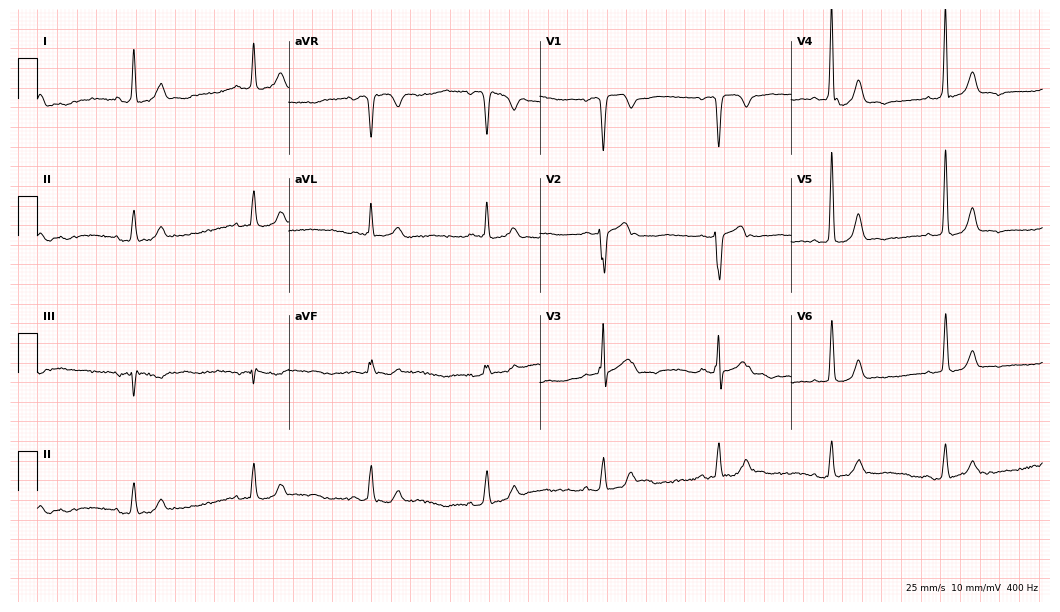
Resting 12-lead electrocardiogram. Patient: a 57-year-old male. None of these six findings is recorded: first-degree AV block, right bundle branch block, left bundle branch block, sinus bradycardia, atrial fibrillation, sinus tachycardia. Only these six findings were labelled.